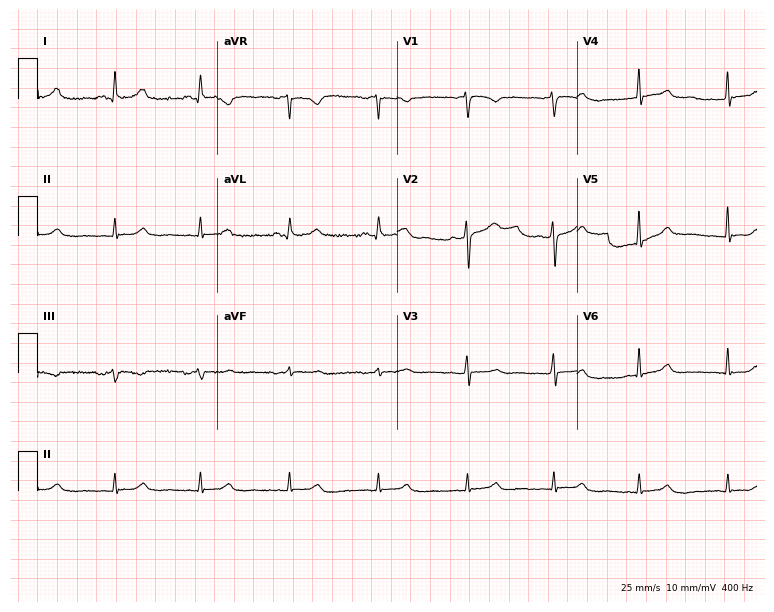
12-lead ECG from a 75-year-old female. Labelled as a normal ECG.